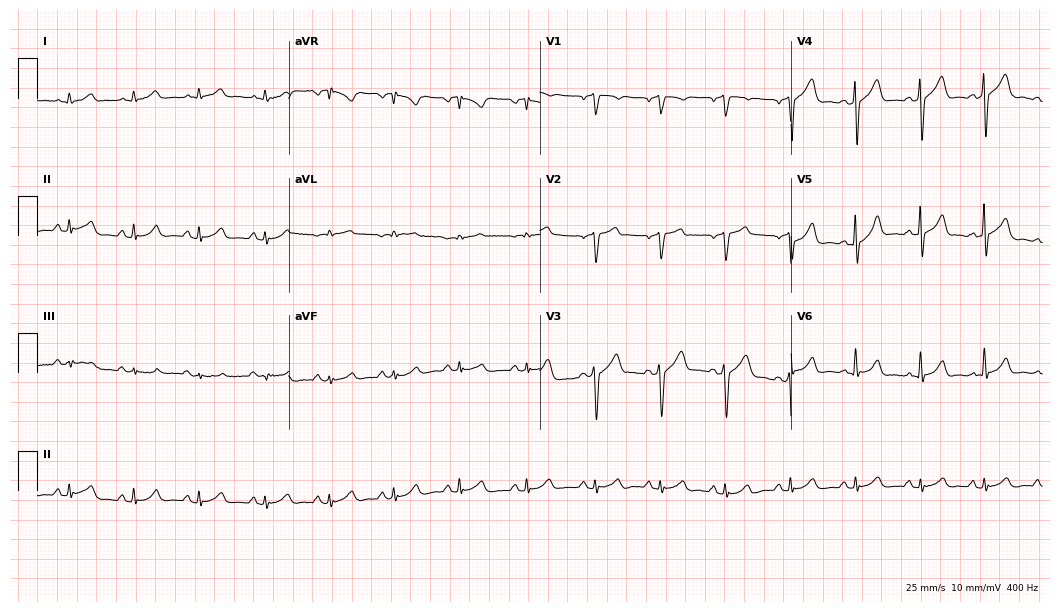
Standard 12-lead ECG recorded from a 61-year-old male (10.2-second recording at 400 Hz). Read as a normal ECG.